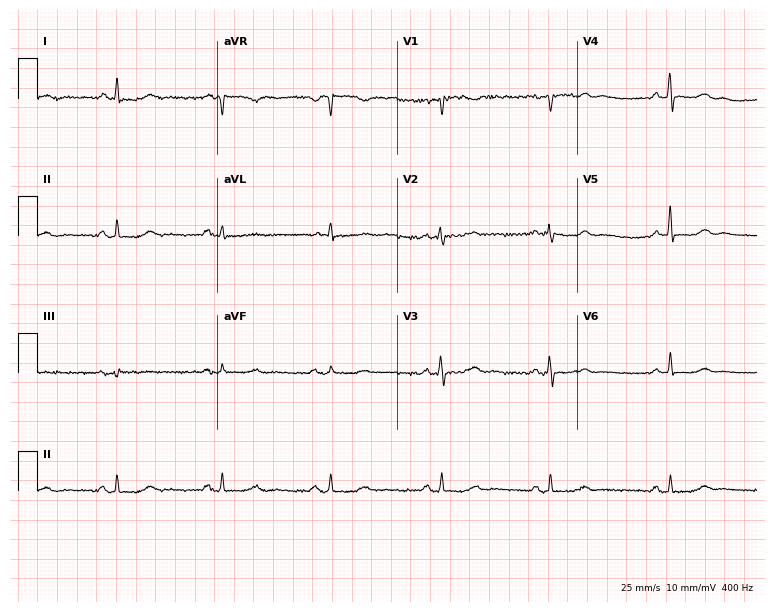
12-lead ECG (7.3-second recording at 400 Hz) from a 60-year-old female. Screened for six findings — first-degree AV block, right bundle branch block, left bundle branch block, sinus bradycardia, atrial fibrillation, sinus tachycardia — none is recorded. Findings outside these six are not listed.